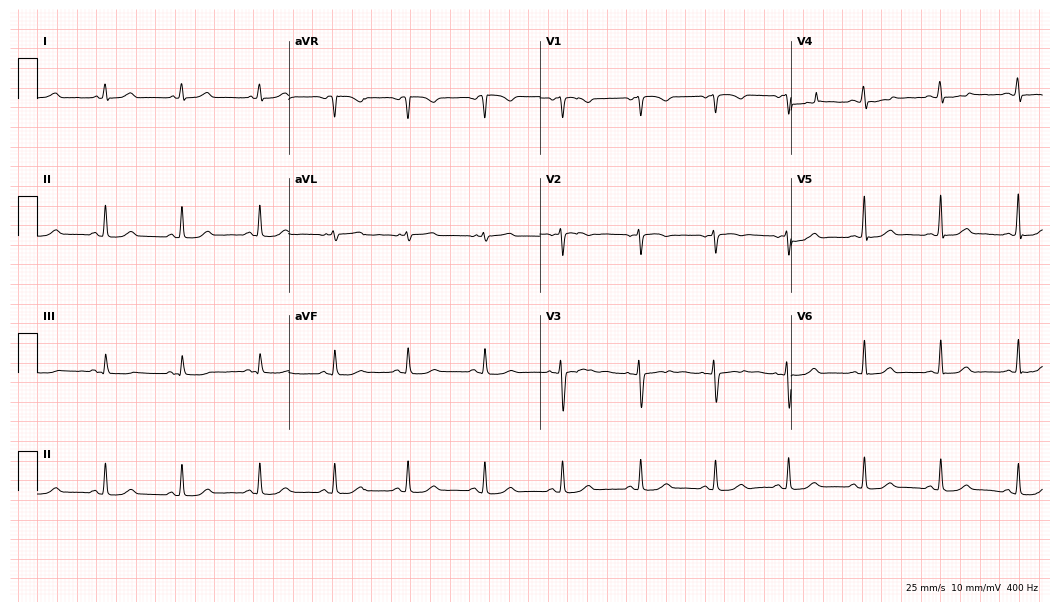
ECG — a 24-year-old female. Labelled as a normal ECG.